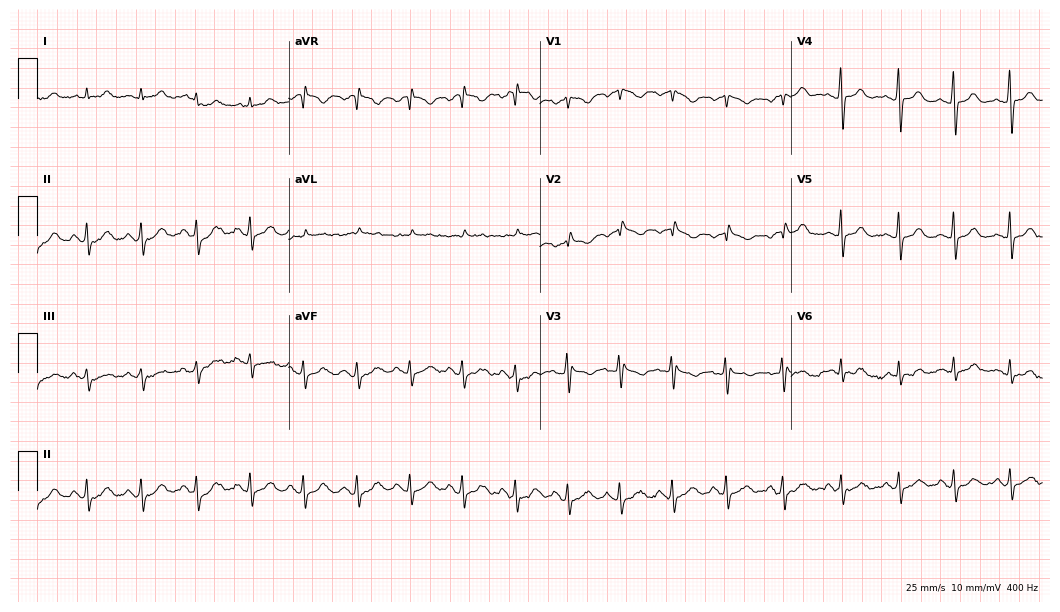
Standard 12-lead ECG recorded from a female patient, 27 years old (10.2-second recording at 400 Hz). The tracing shows sinus tachycardia (a sinus rate of 100 beats per minute or more).